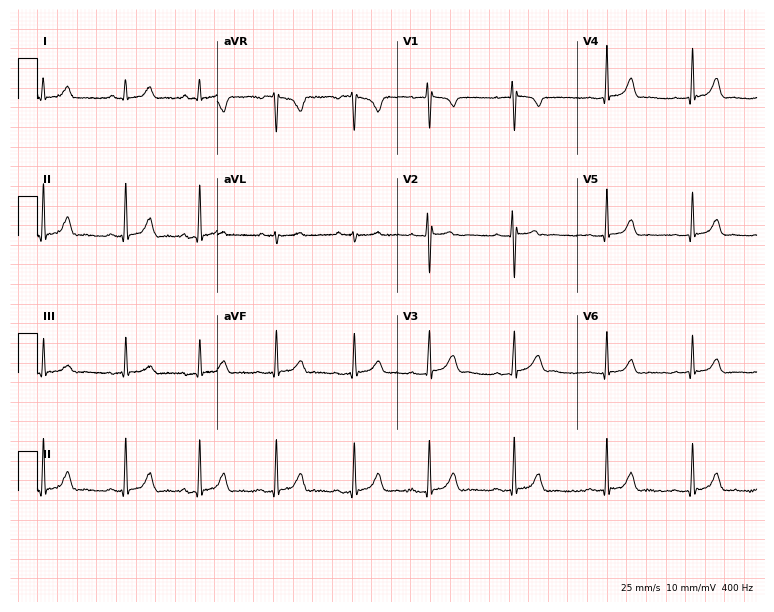
ECG — a female patient, 20 years old. Labelled as a normal ECG.